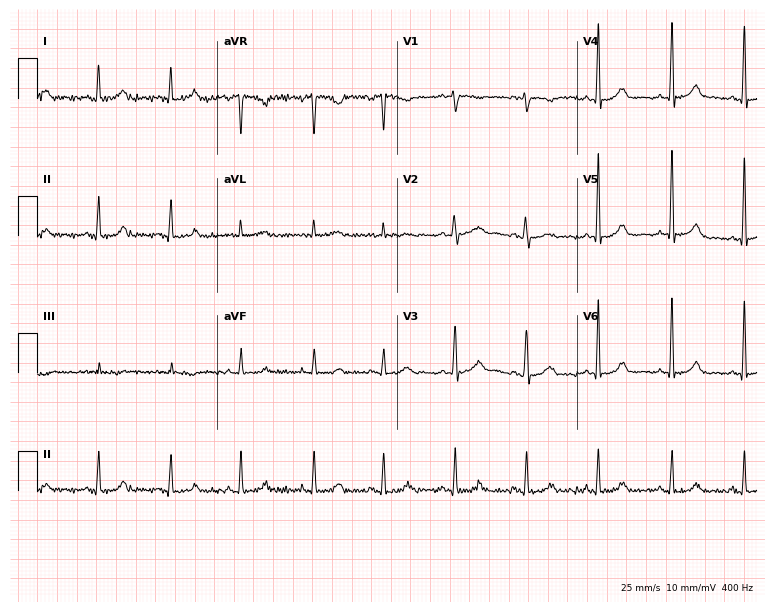
Electrocardiogram, a 34-year-old female. Overall reading on record: normal ECG.